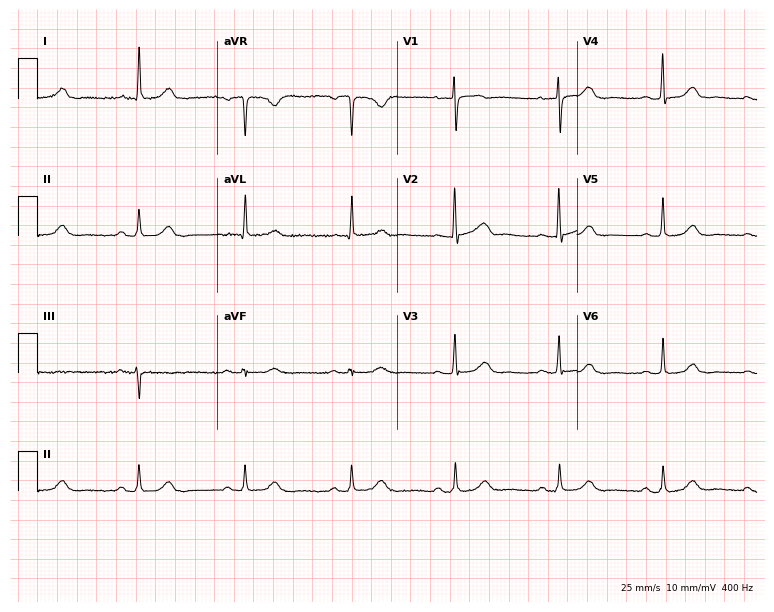
Resting 12-lead electrocardiogram. Patient: a female, 68 years old. Read as a normal ECG.